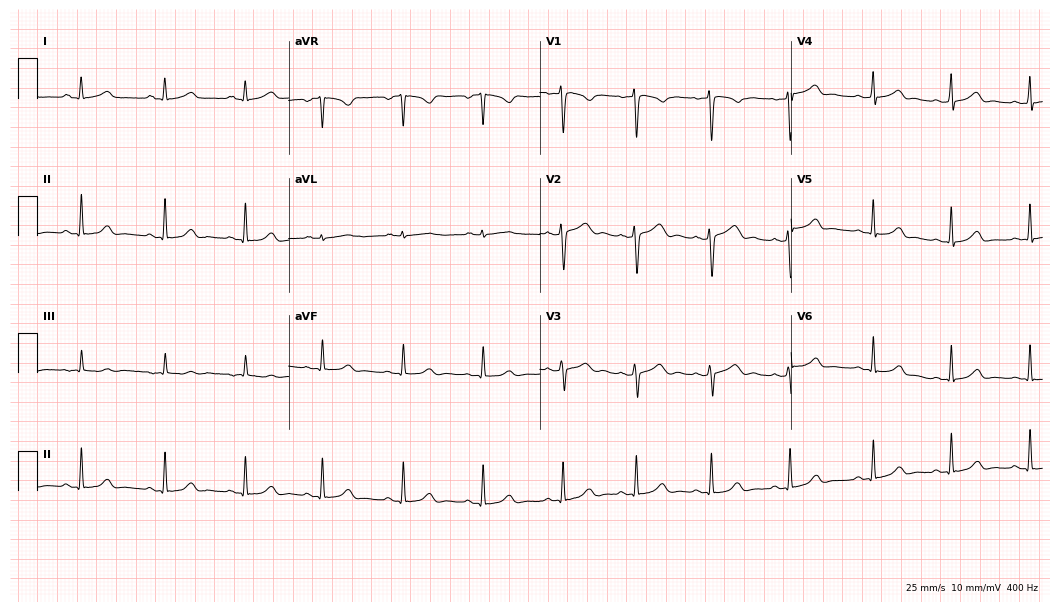
Resting 12-lead electrocardiogram. Patient: a female, 22 years old. Read as a normal ECG.